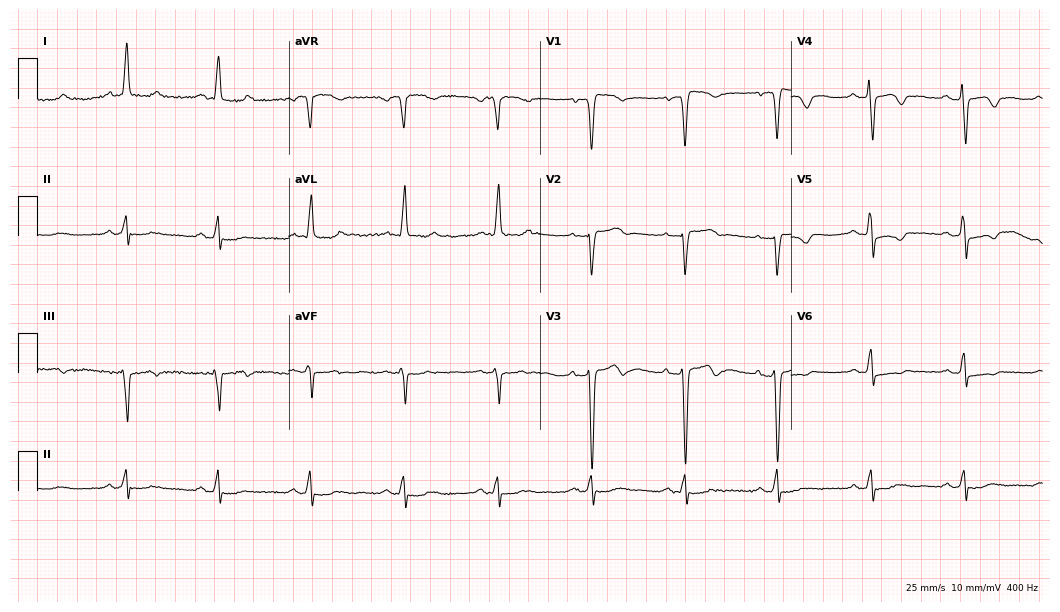
ECG (10.2-second recording at 400 Hz) — a 71-year-old woman. Screened for six findings — first-degree AV block, right bundle branch block, left bundle branch block, sinus bradycardia, atrial fibrillation, sinus tachycardia — none is recorded.